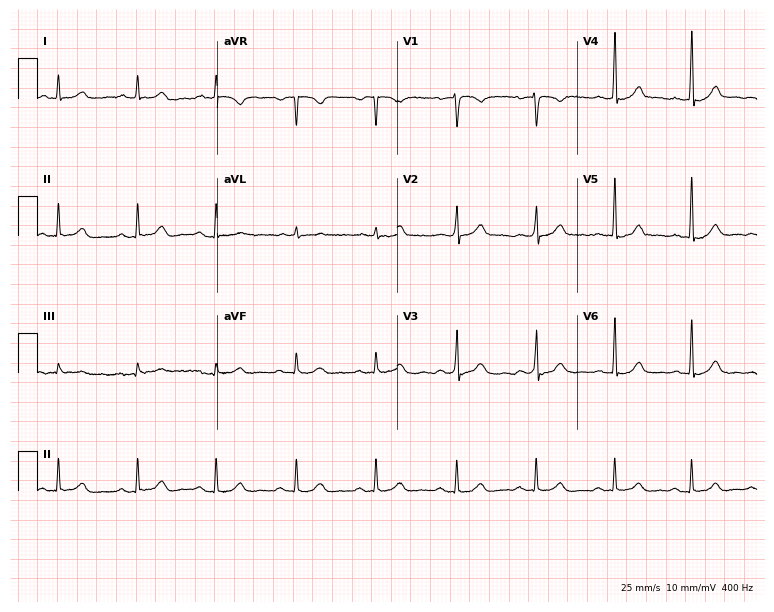
Electrocardiogram (7.3-second recording at 400 Hz), a woman, 45 years old. Overall reading on record: normal ECG.